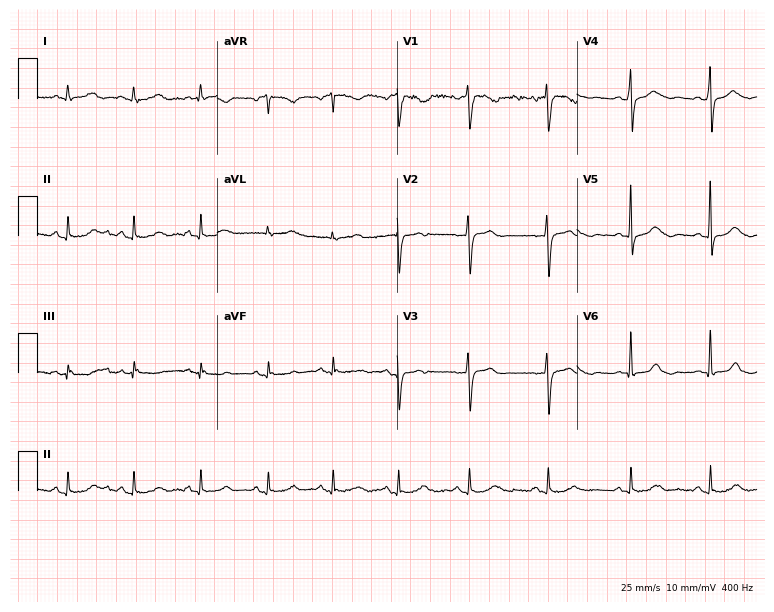
Electrocardiogram, a 44-year-old male patient. Overall reading on record: normal ECG.